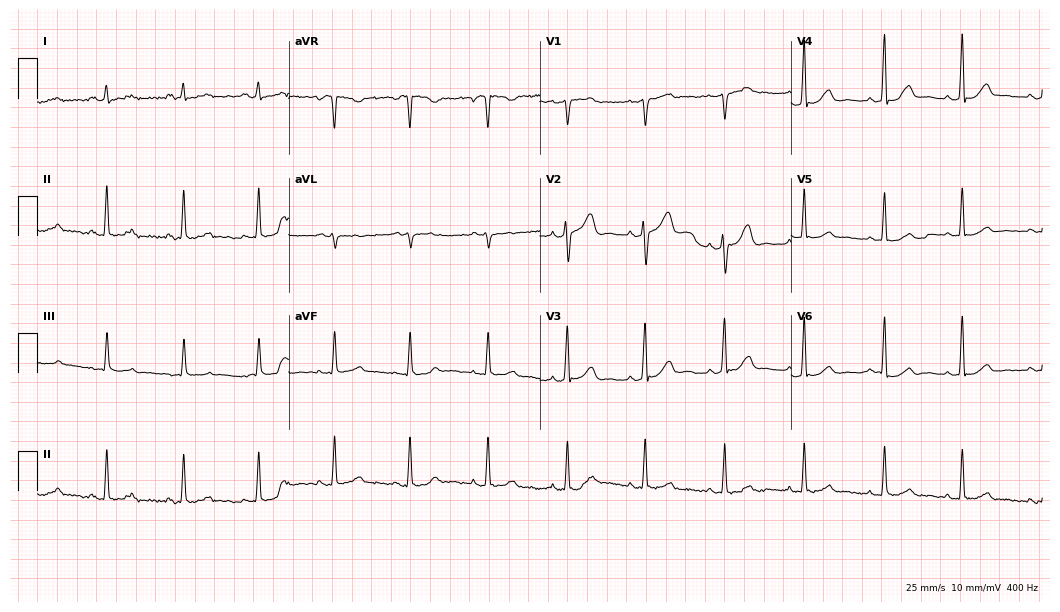
12-lead ECG (10.2-second recording at 400 Hz) from a 28-year-old woman. Labelled as a normal ECG.